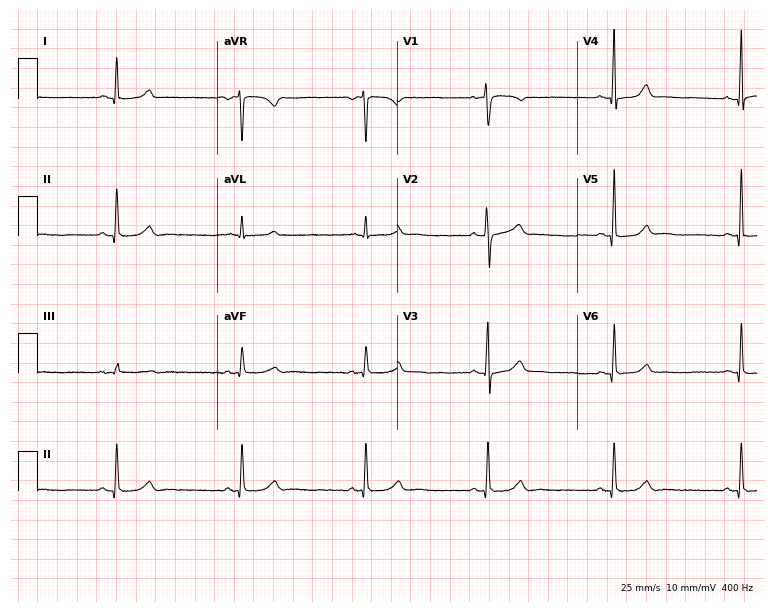
Electrocardiogram (7.3-second recording at 400 Hz), a 53-year-old female. Interpretation includes sinus bradycardia (a sinus rate of 50 beats per minute or less).